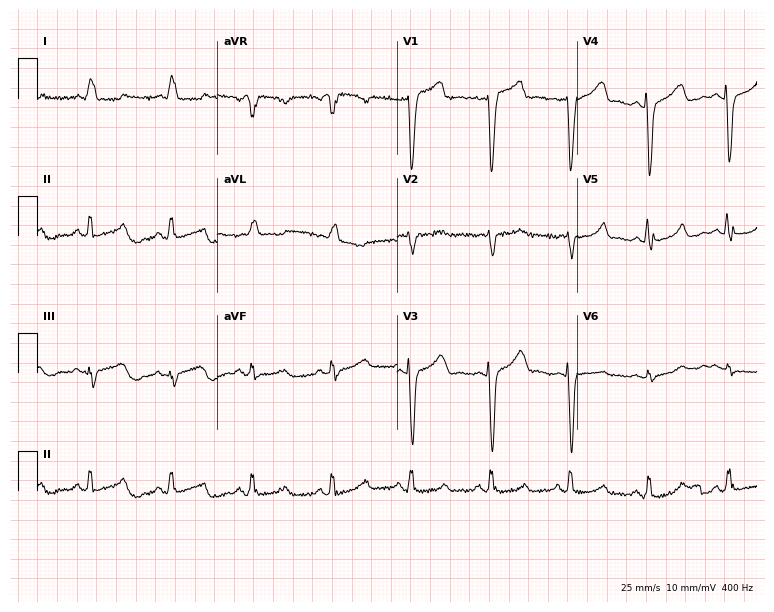
12-lead ECG (7.3-second recording at 400 Hz) from a 63-year-old woman. Findings include left bundle branch block (LBBB).